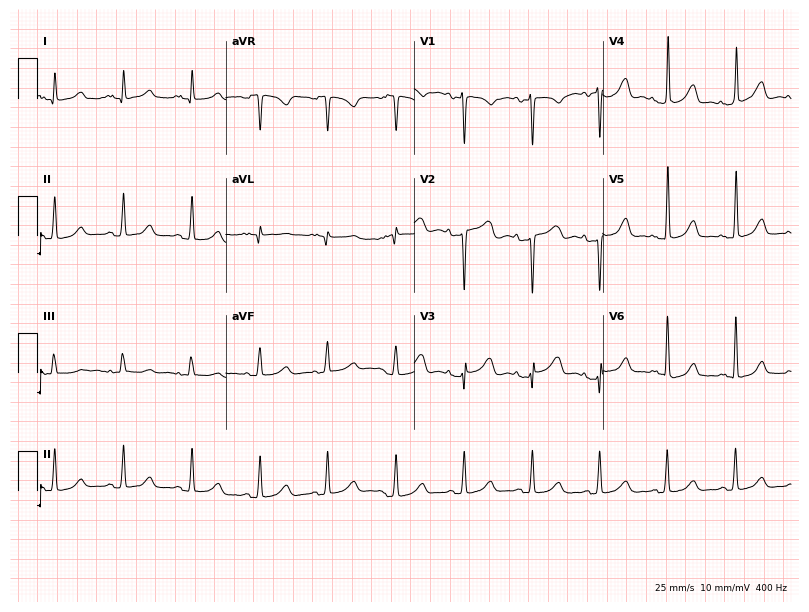
Standard 12-lead ECG recorded from a 35-year-old female patient. None of these six findings is recorded: first-degree AV block, right bundle branch block, left bundle branch block, sinus bradycardia, atrial fibrillation, sinus tachycardia. Other findings, if any, are not listed.